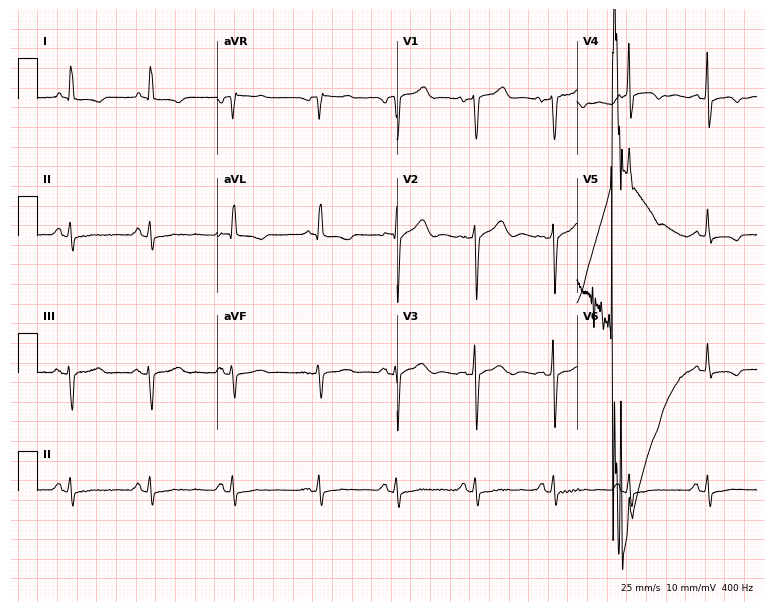
12-lead ECG from an 84-year-old female. Screened for six findings — first-degree AV block, right bundle branch block, left bundle branch block, sinus bradycardia, atrial fibrillation, sinus tachycardia — none is recorded. Findings outside these six are not listed.